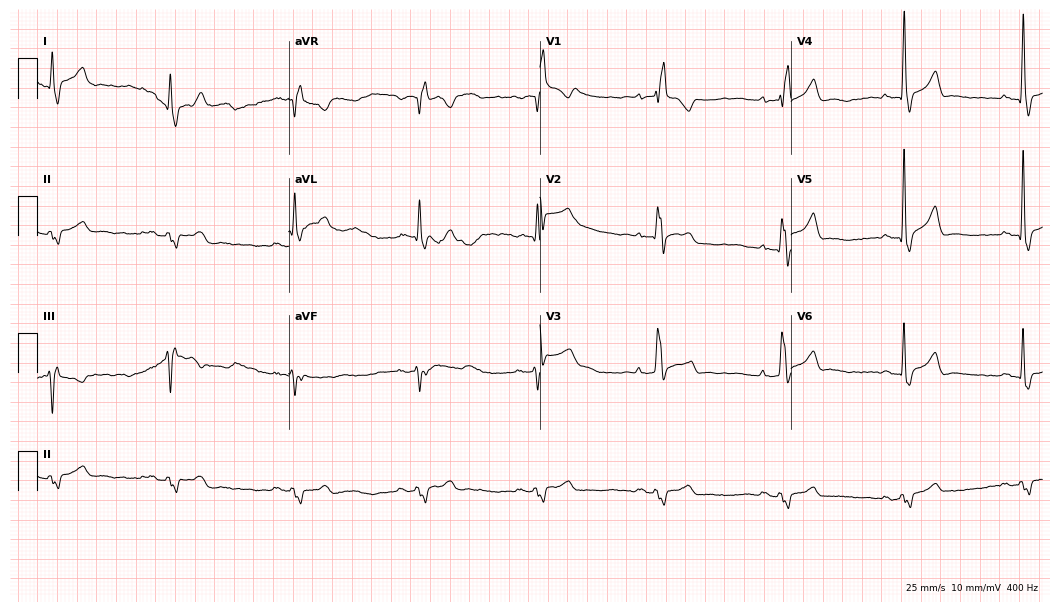
Standard 12-lead ECG recorded from a 60-year-old male patient (10.2-second recording at 400 Hz). The tracing shows right bundle branch block (RBBB), sinus bradycardia (a sinus rate of 50 beats per minute or less).